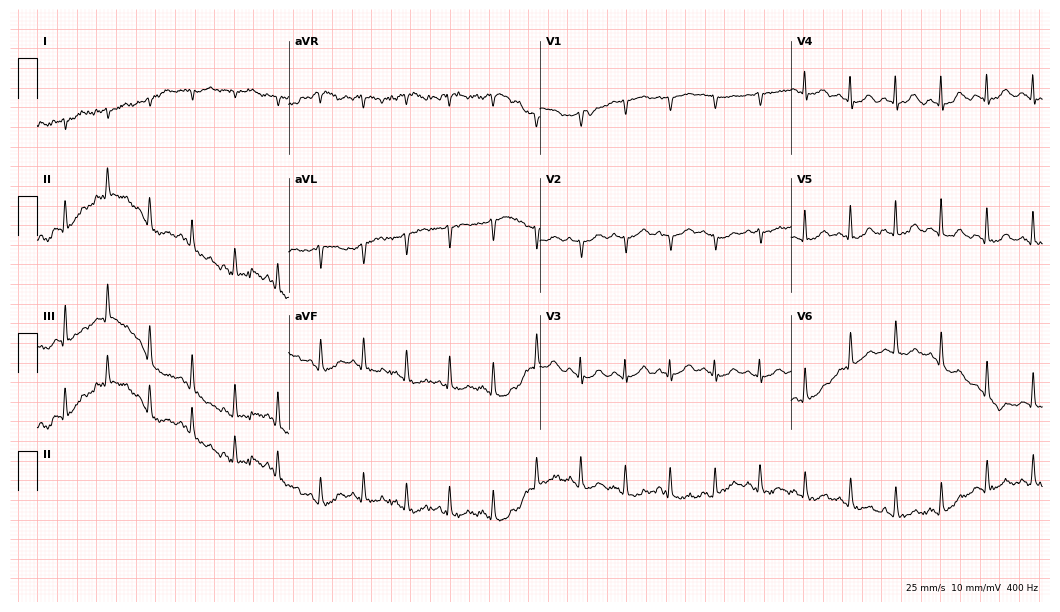
Standard 12-lead ECG recorded from a 34-year-old female (10.2-second recording at 400 Hz). None of these six findings is recorded: first-degree AV block, right bundle branch block (RBBB), left bundle branch block (LBBB), sinus bradycardia, atrial fibrillation (AF), sinus tachycardia. Other findings, if any, are not listed.